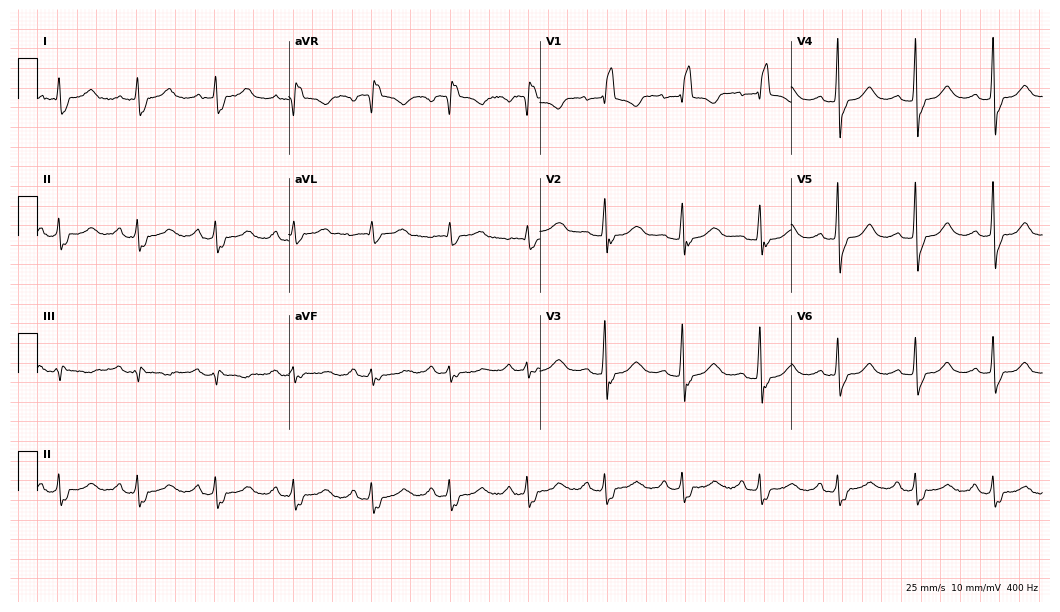
12-lead ECG from a 64-year-old female patient. Shows right bundle branch block.